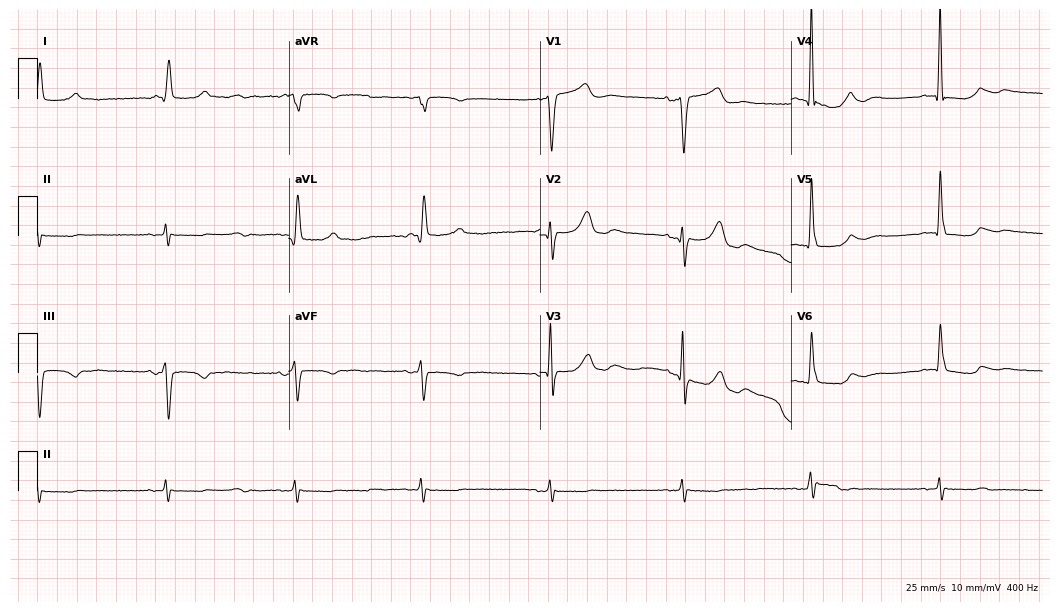
Standard 12-lead ECG recorded from a woman, 77 years old (10.2-second recording at 400 Hz). The tracing shows sinus bradycardia (a sinus rate of 50 beats per minute or less).